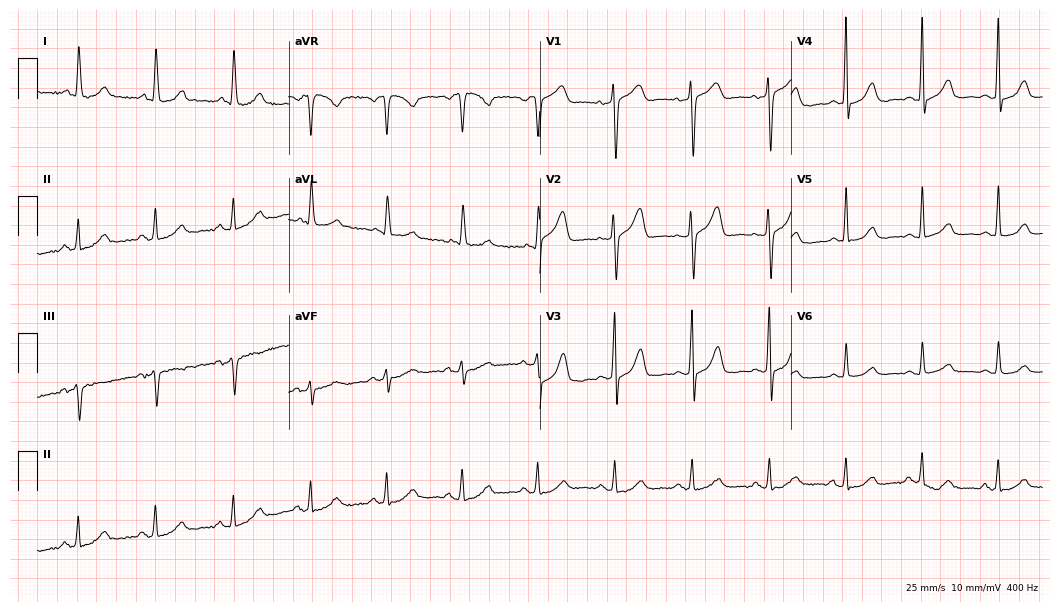
ECG (10.2-second recording at 400 Hz) — a female patient, 82 years old. Screened for six findings — first-degree AV block, right bundle branch block, left bundle branch block, sinus bradycardia, atrial fibrillation, sinus tachycardia — none is recorded.